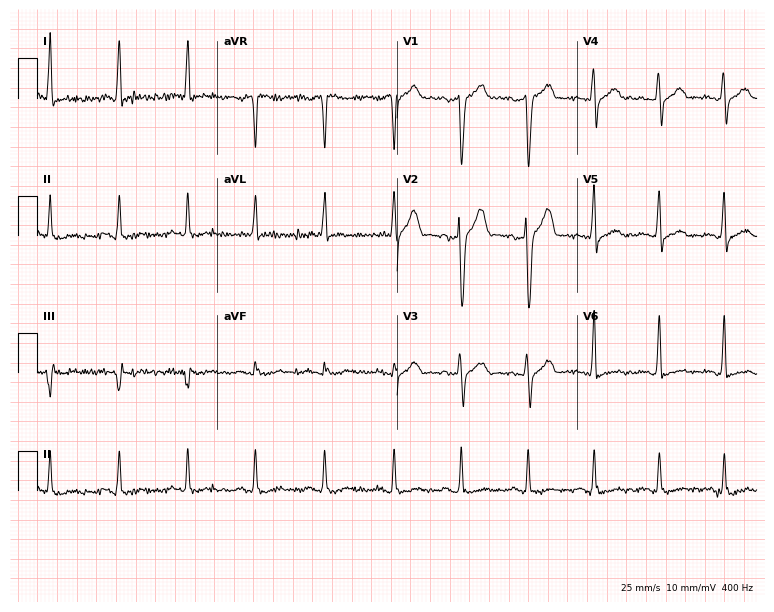
Resting 12-lead electrocardiogram. Patient: a man, 47 years old. None of these six findings is recorded: first-degree AV block, right bundle branch block (RBBB), left bundle branch block (LBBB), sinus bradycardia, atrial fibrillation (AF), sinus tachycardia.